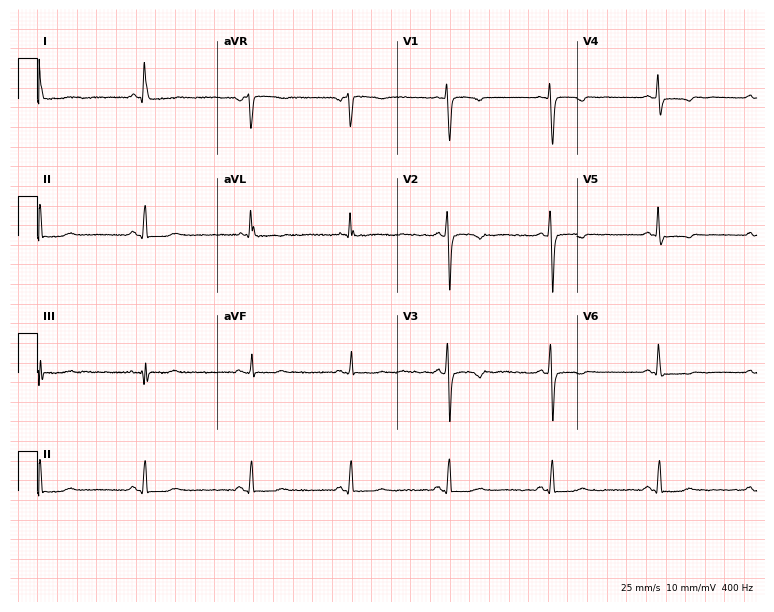
Standard 12-lead ECG recorded from a woman, 54 years old. Read as a normal ECG.